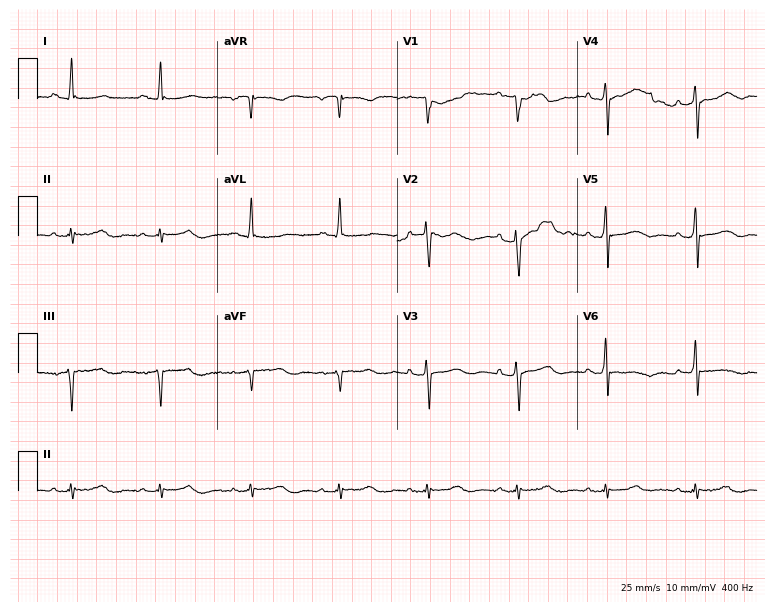
Standard 12-lead ECG recorded from a man, 78 years old. None of these six findings is recorded: first-degree AV block, right bundle branch block, left bundle branch block, sinus bradycardia, atrial fibrillation, sinus tachycardia.